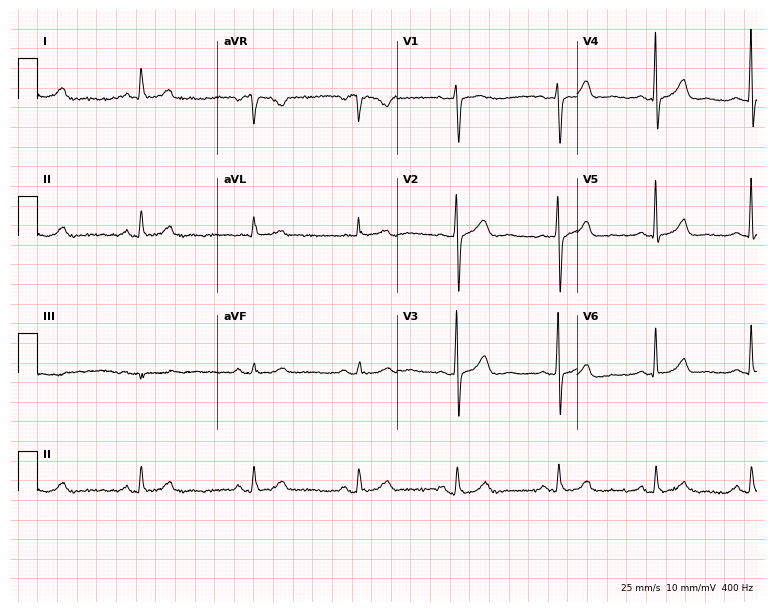
12-lead ECG from a 64-year-old female. Screened for six findings — first-degree AV block, right bundle branch block (RBBB), left bundle branch block (LBBB), sinus bradycardia, atrial fibrillation (AF), sinus tachycardia — none is recorded.